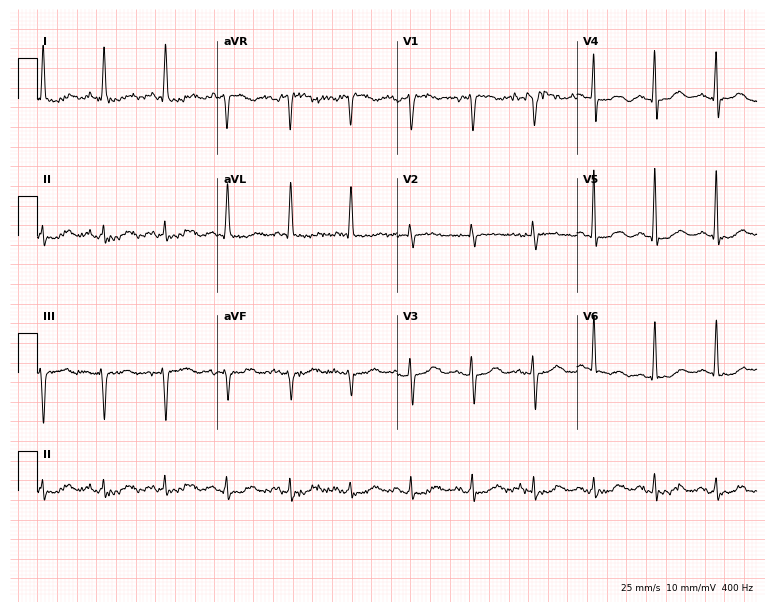
ECG (7.3-second recording at 400 Hz) — a 79-year-old female. Screened for six findings — first-degree AV block, right bundle branch block, left bundle branch block, sinus bradycardia, atrial fibrillation, sinus tachycardia — none is recorded.